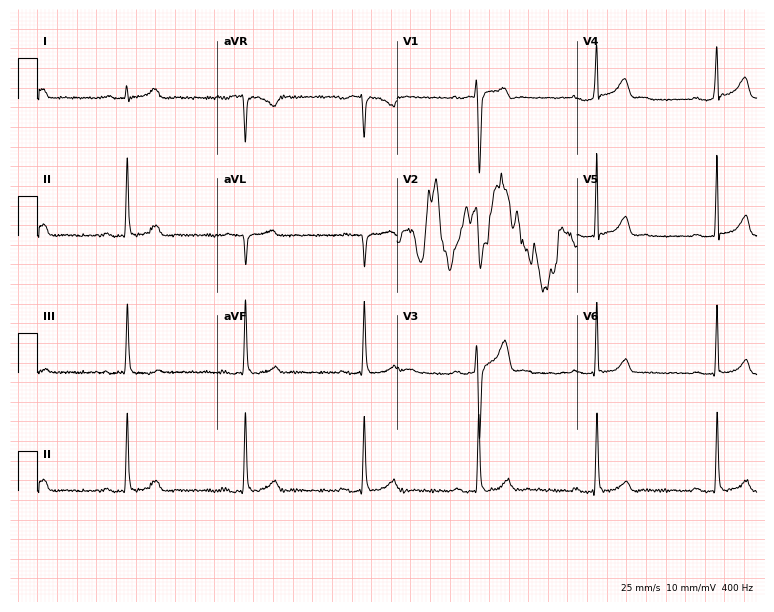
Standard 12-lead ECG recorded from a male, 22 years old. The tracing shows first-degree AV block.